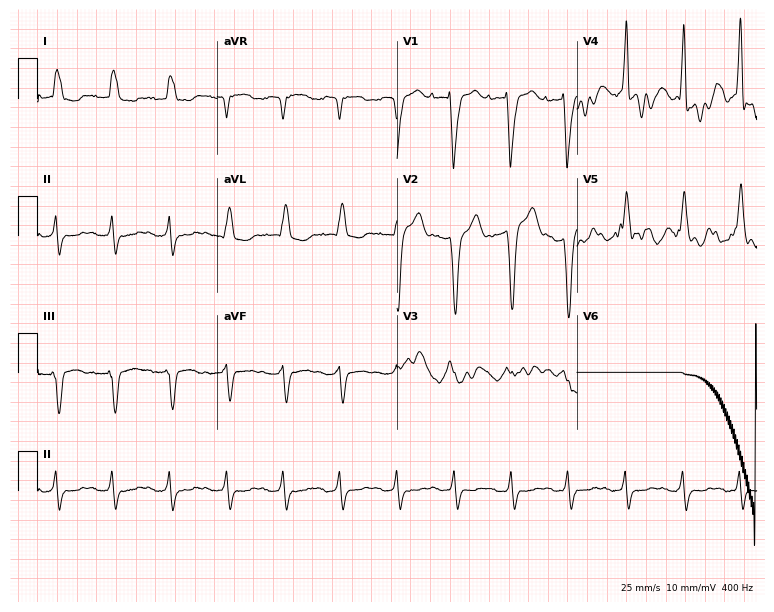
ECG — a male patient, 74 years old. Screened for six findings — first-degree AV block, right bundle branch block, left bundle branch block, sinus bradycardia, atrial fibrillation, sinus tachycardia — none is recorded.